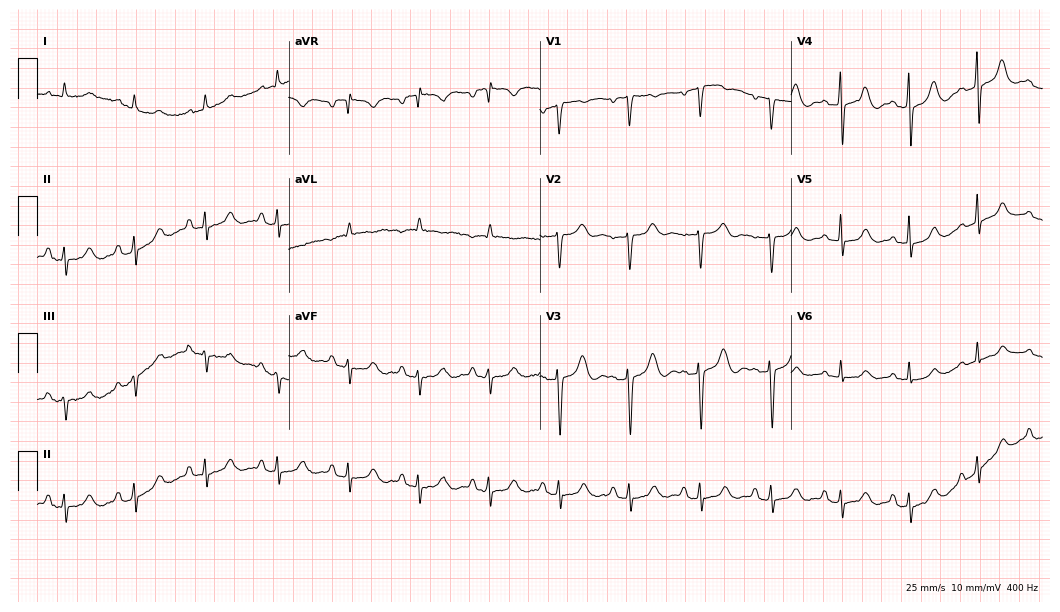
12-lead ECG (10.2-second recording at 400 Hz) from a female, 55 years old. Labelled as a normal ECG.